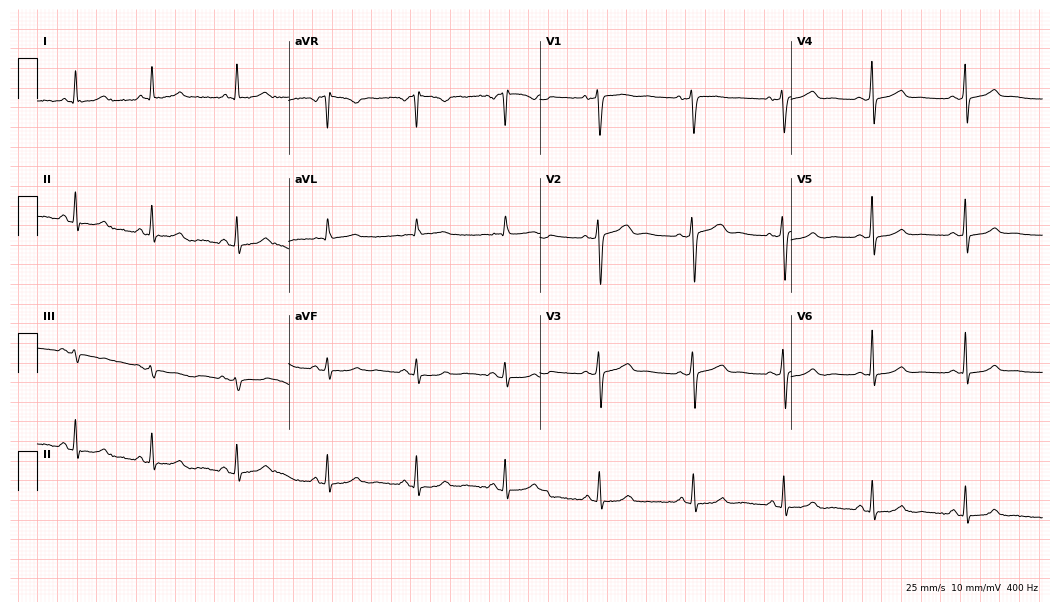
Standard 12-lead ECG recorded from a female, 44 years old (10.2-second recording at 400 Hz). Read as a normal ECG.